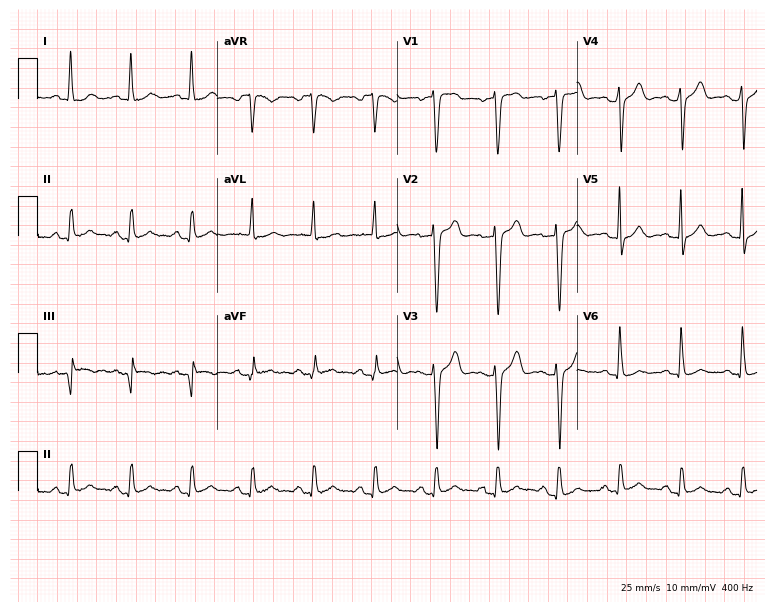
Resting 12-lead electrocardiogram. Patient: a female, 80 years old. None of these six findings is recorded: first-degree AV block, right bundle branch block (RBBB), left bundle branch block (LBBB), sinus bradycardia, atrial fibrillation (AF), sinus tachycardia.